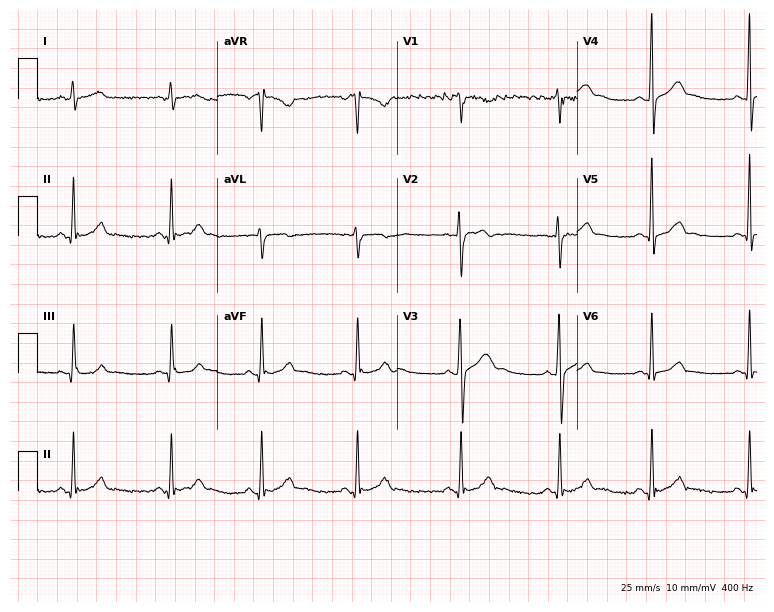
Electrocardiogram, a 23-year-old man. Of the six screened findings (first-degree AV block, right bundle branch block, left bundle branch block, sinus bradycardia, atrial fibrillation, sinus tachycardia), none is recorded. Other findings, if any, are not listed.